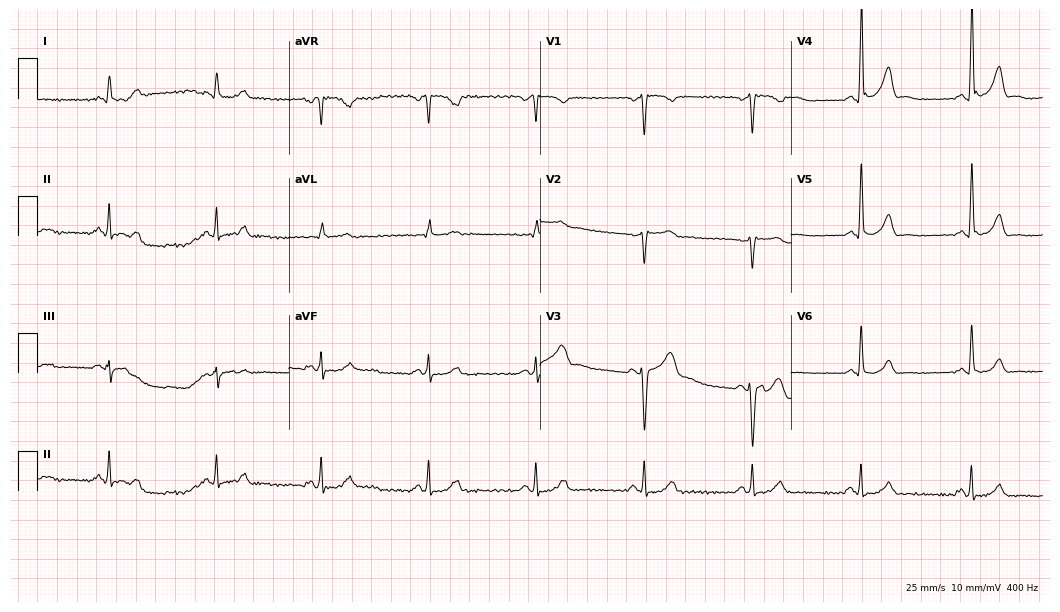
ECG — a 59-year-old man. Screened for six findings — first-degree AV block, right bundle branch block, left bundle branch block, sinus bradycardia, atrial fibrillation, sinus tachycardia — none is recorded.